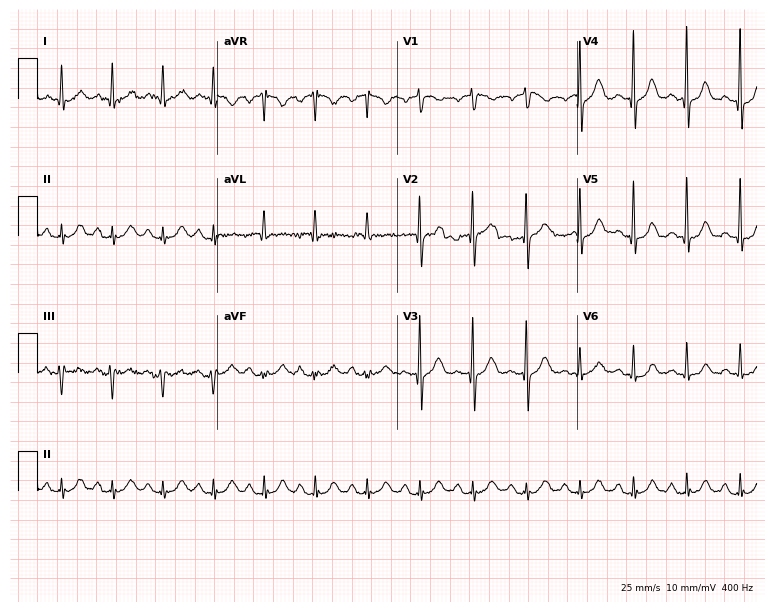
ECG — a 77-year-old man. Findings include sinus tachycardia (a sinus rate of 100 beats per minute or more).